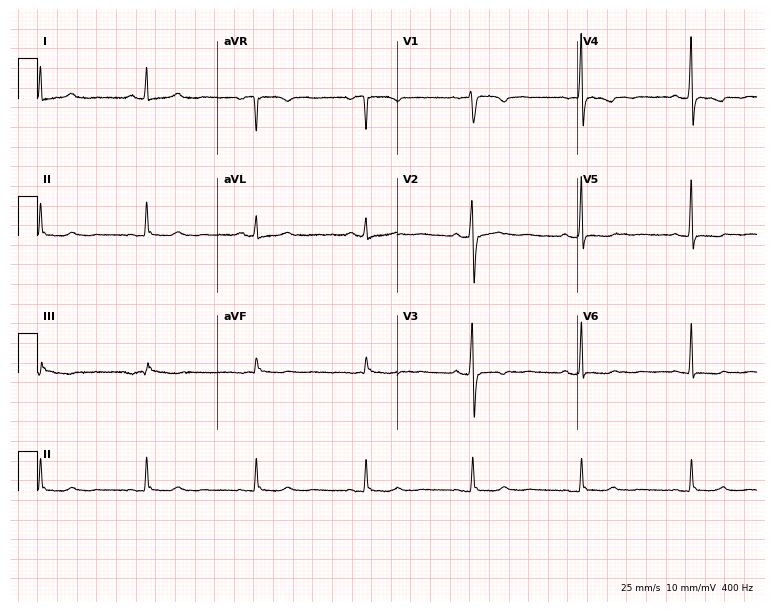
Resting 12-lead electrocardiogram (7.3-second recording at 400 Hz). Patient: a 53-year-old woman. None of these six findings is recorded: first-degree AV block, right bundle branch block, left bundle branch block, sinus bradycardia, atrial fibrillation, sinus tachycardia.